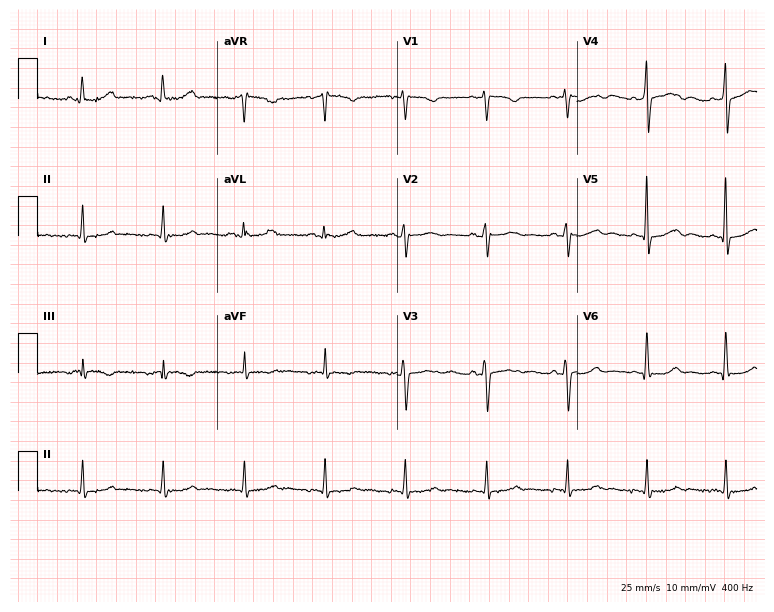
Electrocardiogram, a female, 47 years old. Overall reading on record: normal ECG.